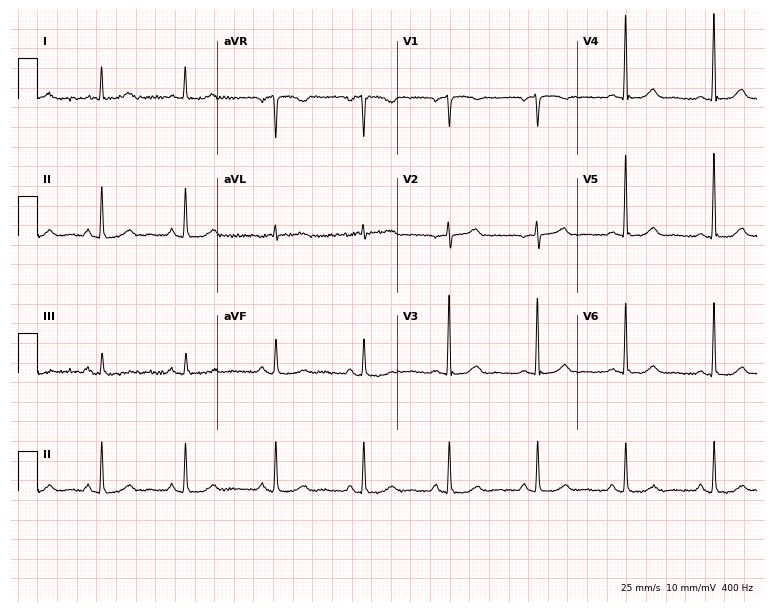
ECG (7.3-second recording at 400 Hz) — a female, 69 years old. Labelled as a normal ECG.